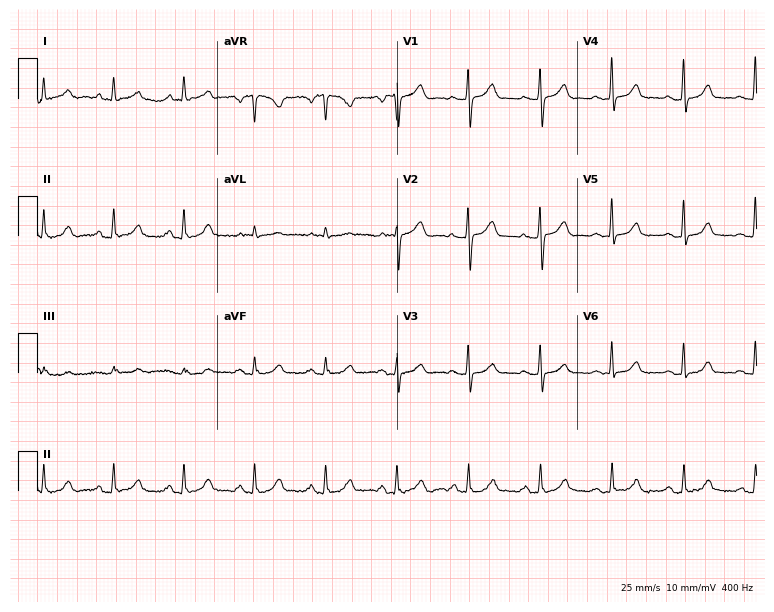
12-lead ECG from a 76-year-old woman. Screened for six findings — first-degree AV block, right bundle branch block, left bundle branch block, sinus bradycardia, atrial fibrillation, sinus tachycardia — none is recorded. Other findings, if any, are not listed.